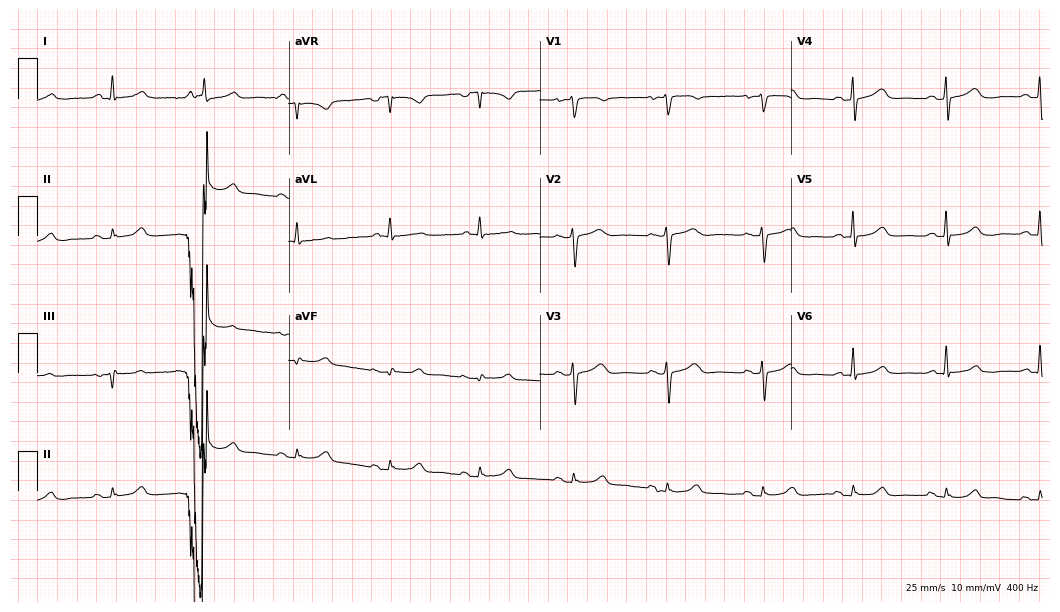
Resting 12-lead electrocardiogram. Patient: a 50-year-old female. Read as a normal ECG.